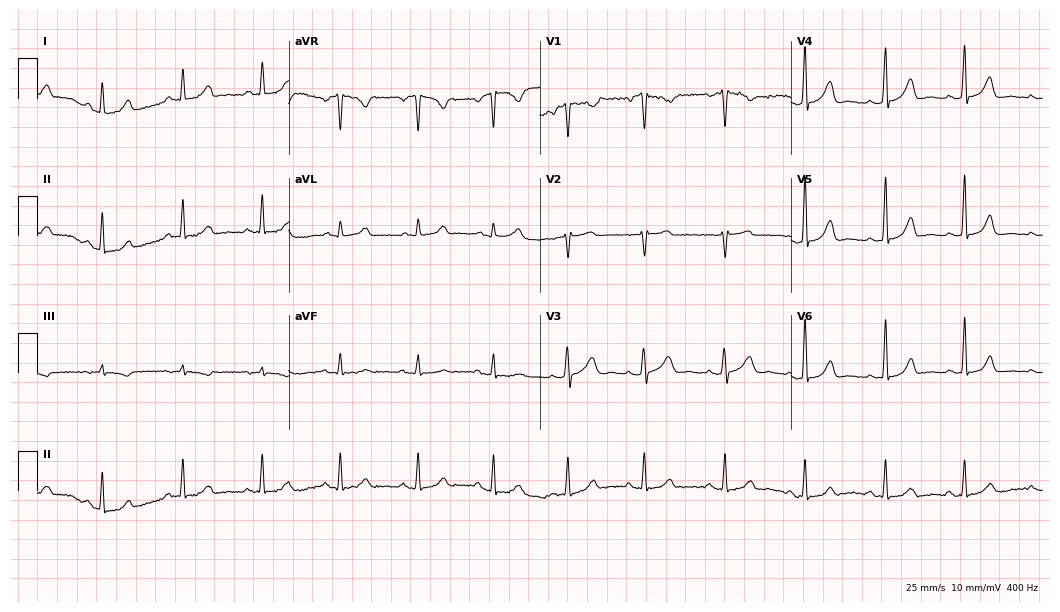
Standard 12-lead ECG recorded from a 46-year-old female patient (10.2-second recording at 400 Hz). None of these six findings is recorded: first-degree AV block, right bundle branch block, left bundle branch block, sinus bradycardia, atrial fibrillation, sinus tachycardia. Other findings, if any, are not listed.